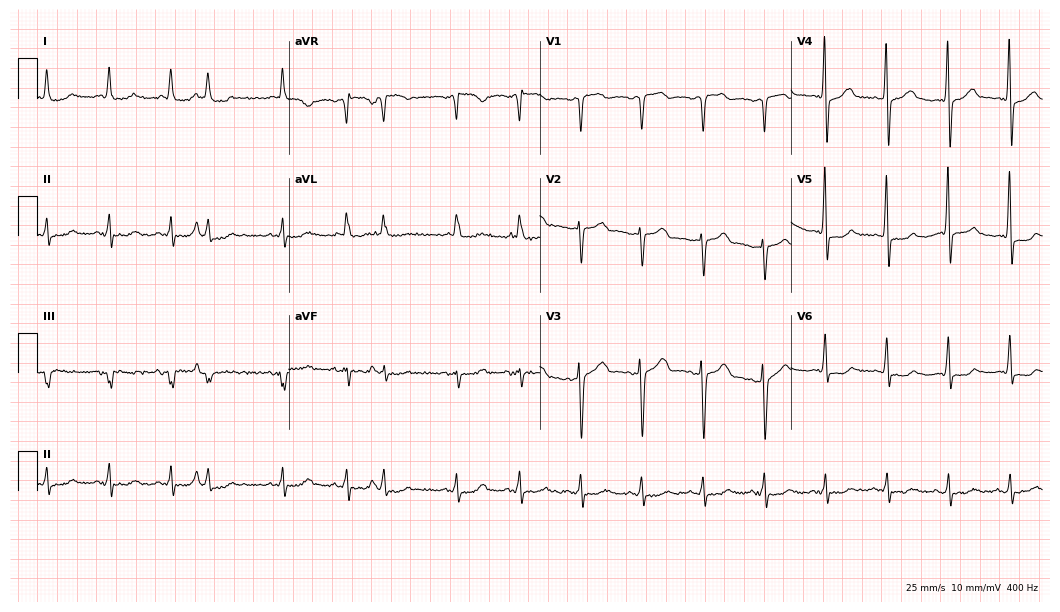
ECG — a woman, 70 years old. Screened for six findings — first-degree AV block, right bundle branch block, left bundle branch block, sinus bradycardia, atrial fibrillation, sinus tachycardia — none is recorded. Other findings, if any, are not listed.